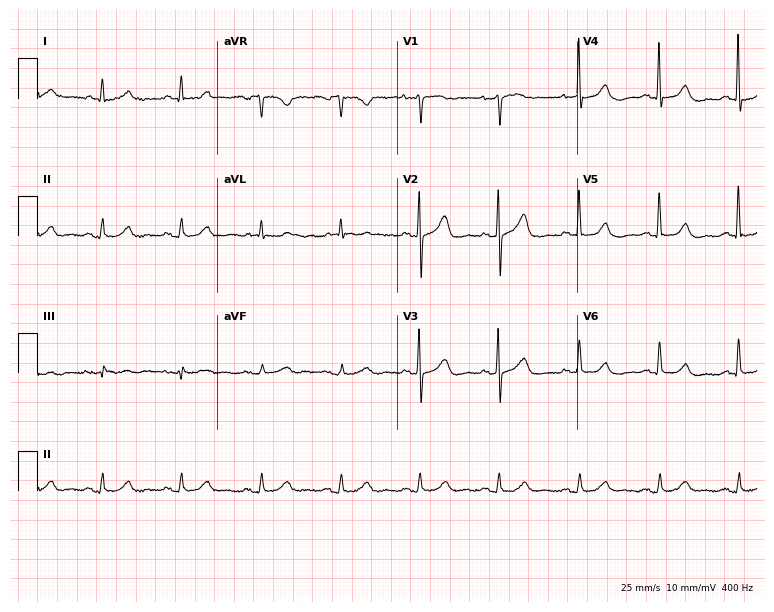
Standard 12-lead ECG recorded from a 75-year-old woman (7.3-second recording at 400 Hz). Read as a normal ECG.